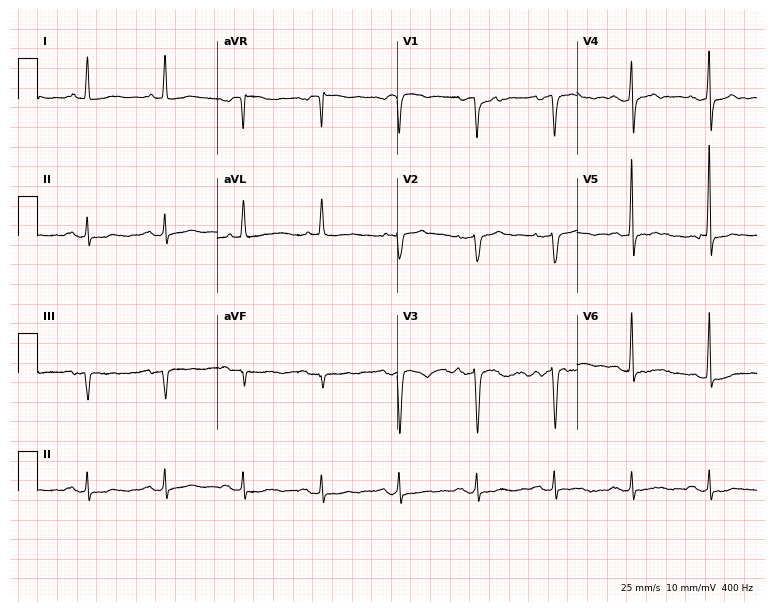
Resting 12-lead electrocardiogram (7.3-second recording at 400 Hz). Patient: a woman, 69 years old. None of these six findings is recorded: first-degree AV block, right bundle branch block (RBBB), left bundle branch block (LBBB), sinus bradycardia, atrial fibrillation (AF), sinus tachycardia. Findings outside these six are not listed.